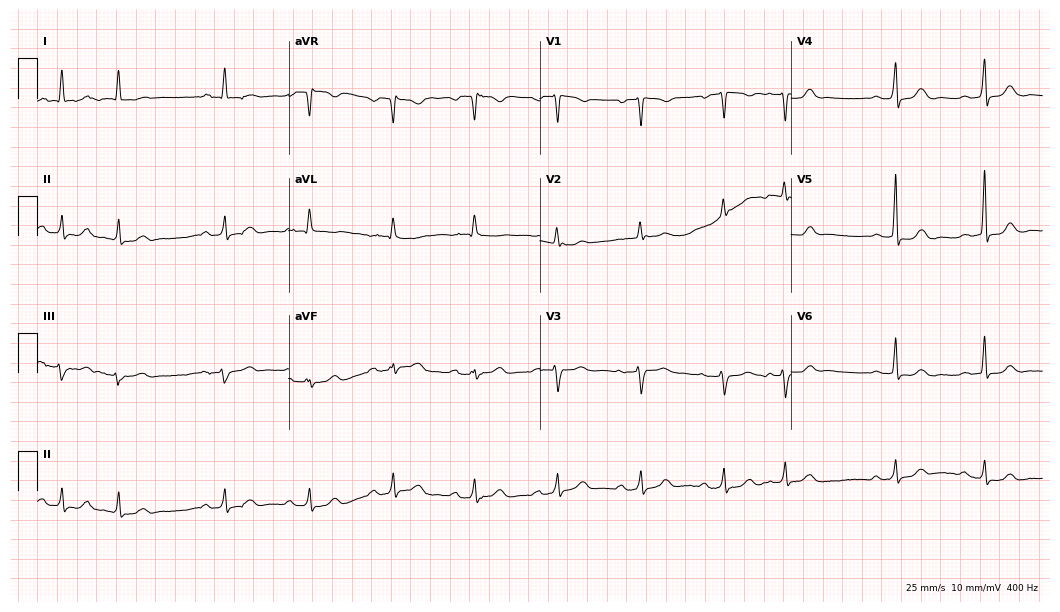
Resting 12-lead electrocardiogram (10.2-second recording at 400 Hz). Patient: a female, 76 years old. None of these six findings is recorded: first-degree AV block, right bundle branch block, left bundle branch block, sinus bradycardia, atrial fibrillation, sinus tachycardia.